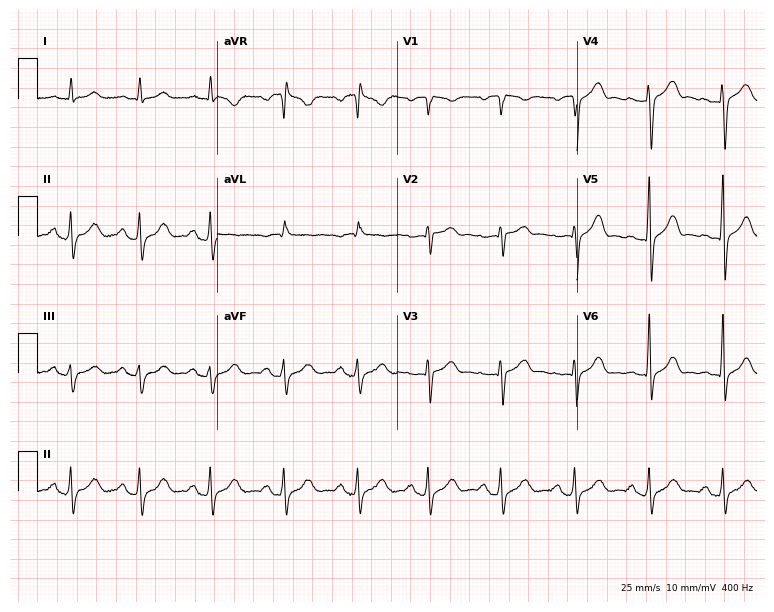
ECG (7.3-second recording at 400 Hz) — a man, 55 years old. Screened for six findings — first-degree AV block, right bundle branch block, left bundle branch block, sinus bradycardia, atrial fibrillation, sinus tachycardia — none is recorded.